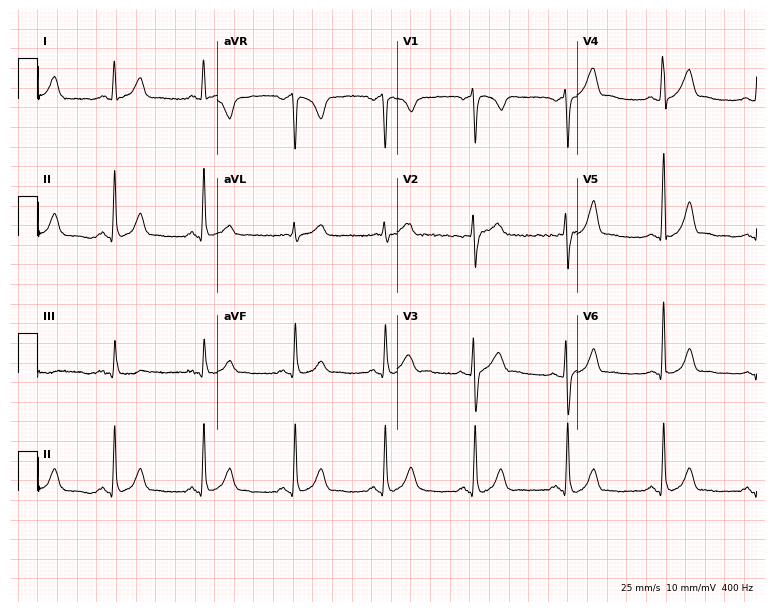
12-lead ECG from a man, 35 years old (7.3-second recording at 400 Hz). Recorded interpretation: within normal limits.